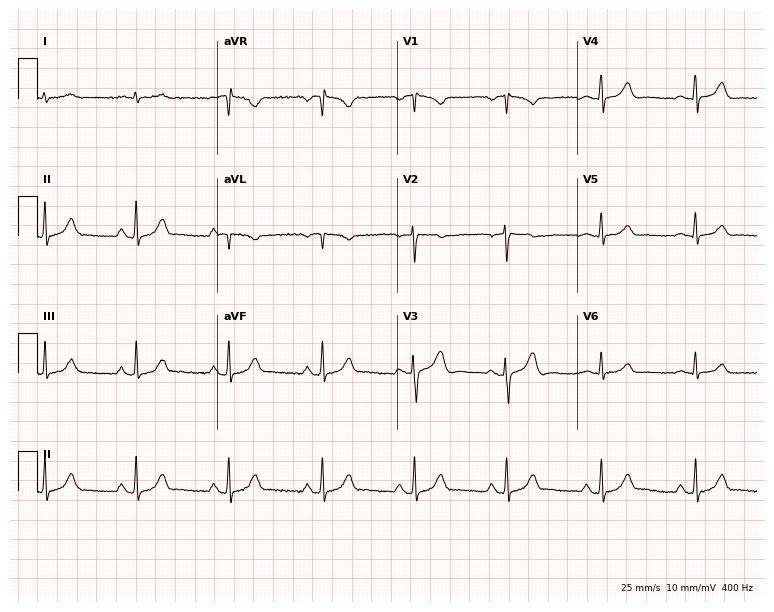
Resting 12-lead electrocardiogram. Patient: a male, 59 years old. Read as a normal ECG.